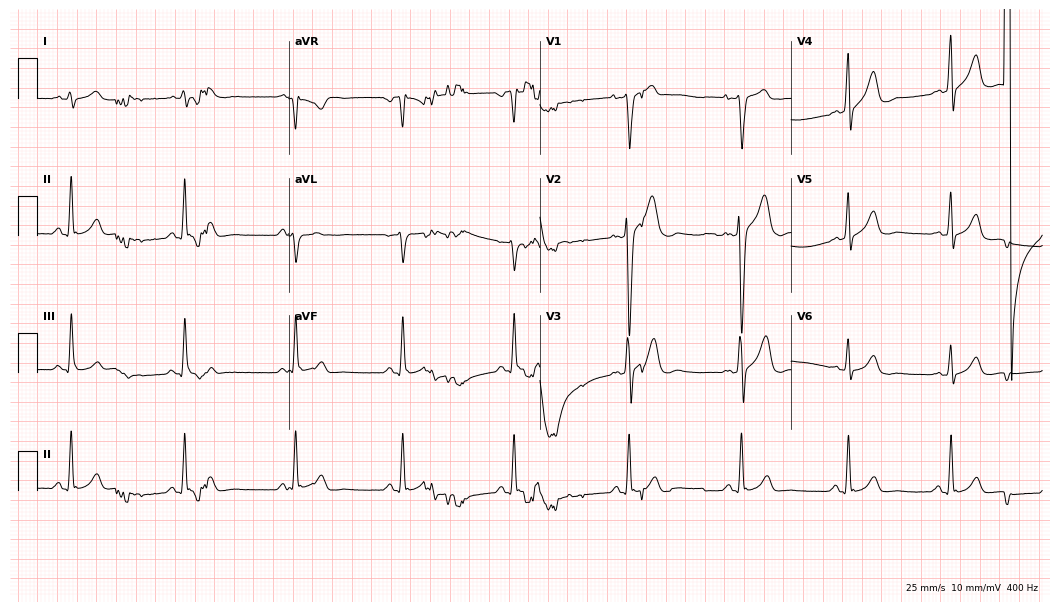
Resting 12-lead electrocardiogram. Patient: a man, 23 years old. None of these six findings is recorded: first-degree AV block, right bundle branch block, left bundle branch block, sinus bradycardia, atrial fibrillation, sinus tachycardia. Other findings, if any, are not listed.